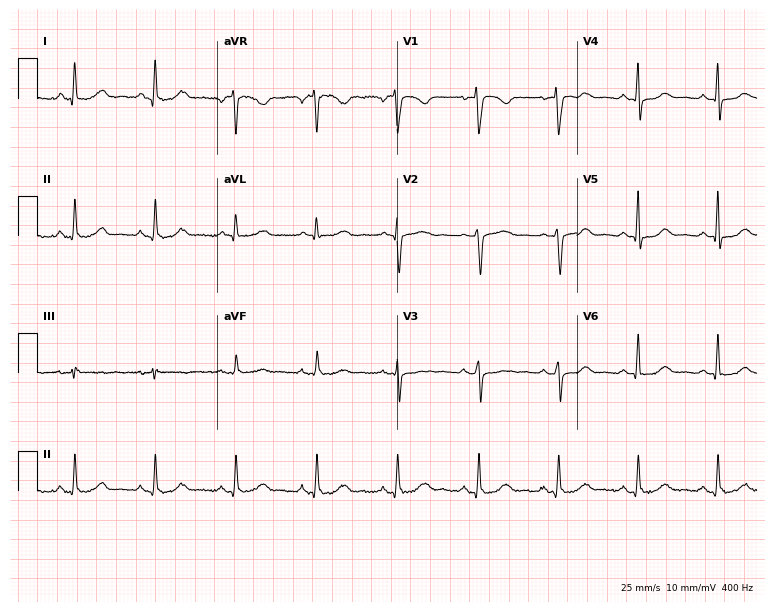
12-lead ECG from a 53-year-old woman. Labelled as a normal ECG.